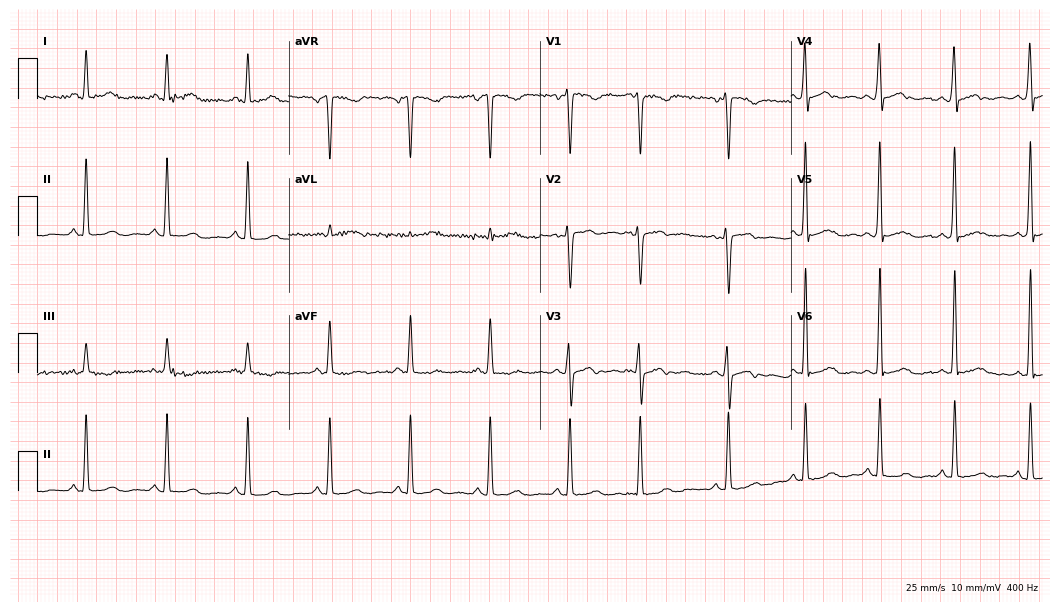
Electrocardiogram (10.2-second recording at 400 Hz), a woman, 35 years old. Overall reading on record: normal ECG.